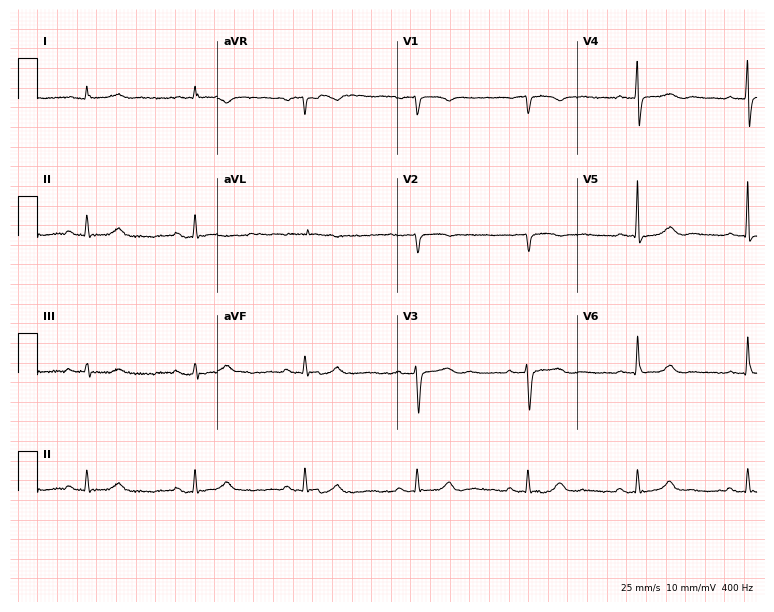
12-lead ECG from a 77-year-old man. Recorded interpretation: within normal limits.